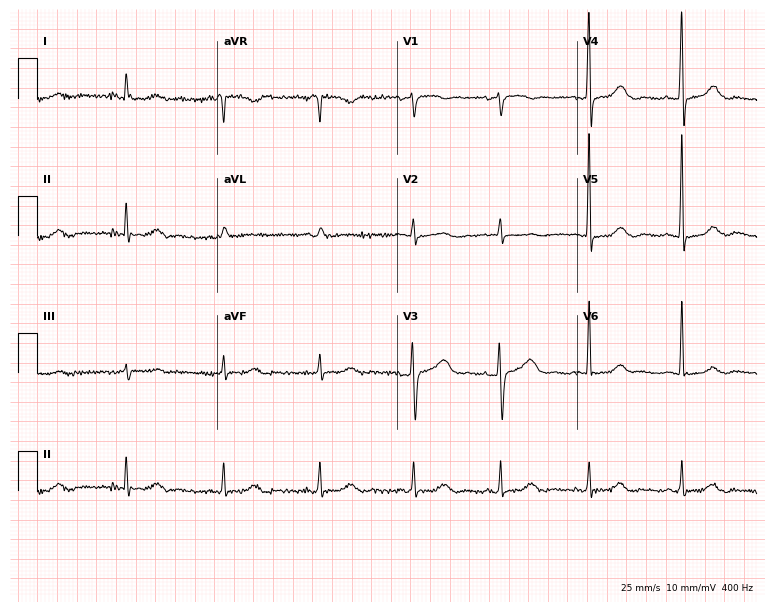
12-lead ECG from a 57-year-old female patient. No first-degree AV block, right bundle branch block, left bundle branch block, sinus bradycardia, atrial fibrillation or sinus tachycardia recorded for this tracing.